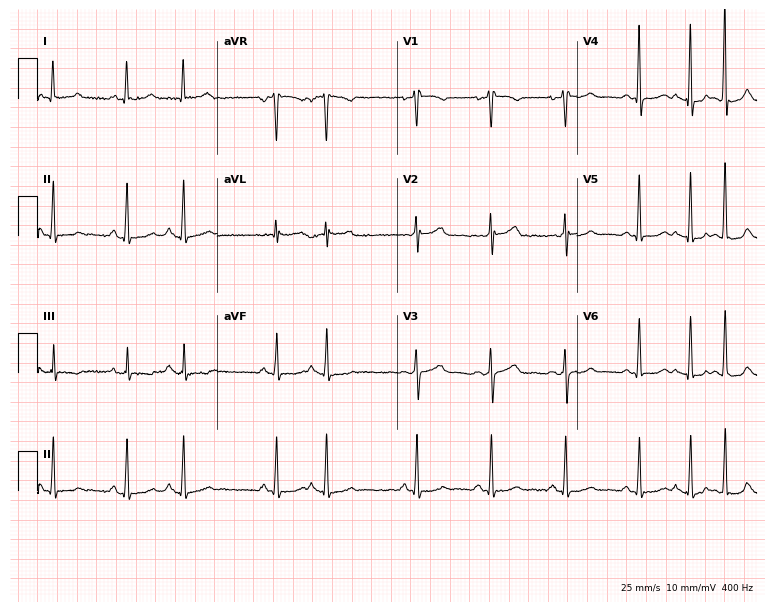
ECG — a 62-year-old female patient. Screened for six findings — first-degree AV block, right bundle branch block, left bundle branch block, sinus bradycardia, atrial fibrillation, sinus tachycardia — none is recorded. Other findings, if any, are not listed.